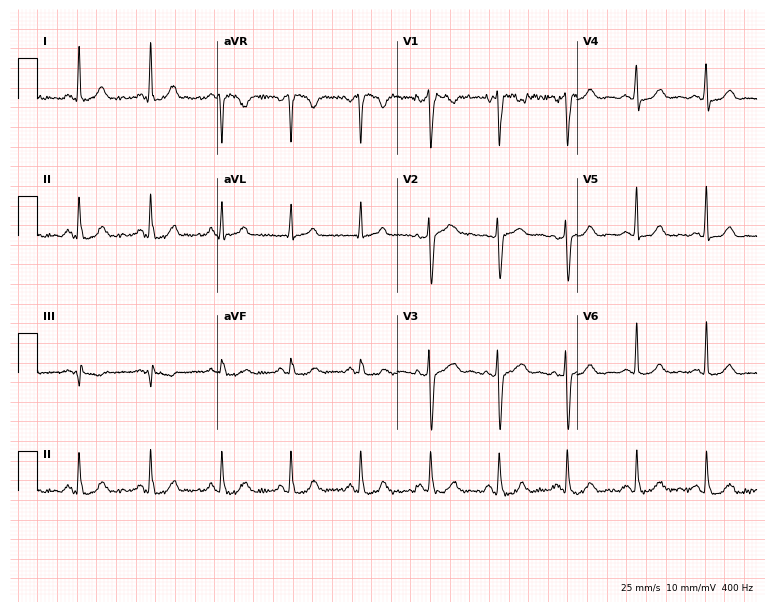
12-lead ECG from a 21-year-old woman (7.3-second recording at 400 Hz). Recorded interpretation: within normal limits.